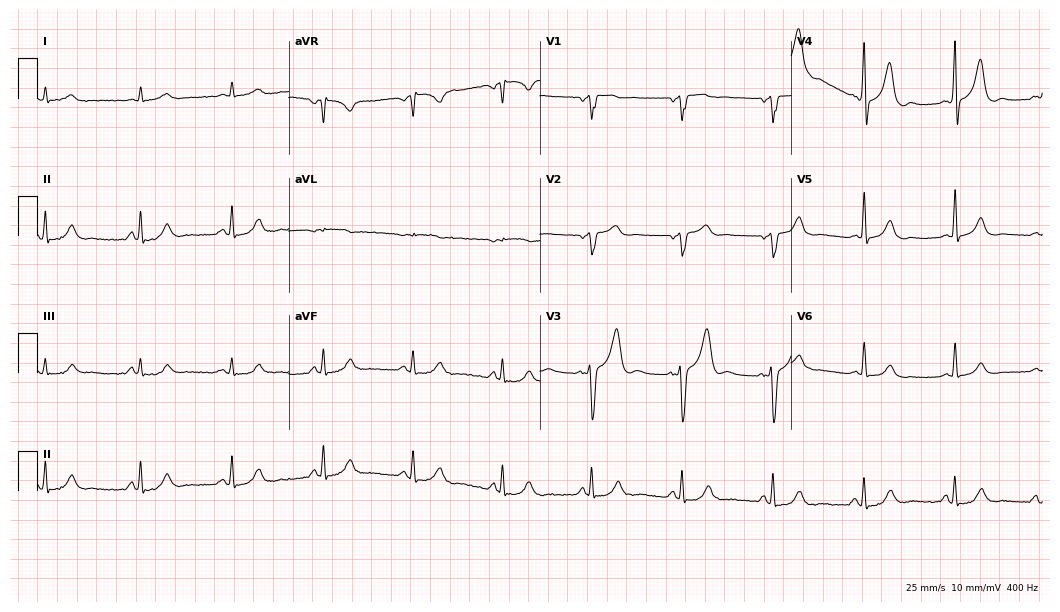
Standard 12-lead ECG recorded from a 64-year-old man. Read as a normal ECG.